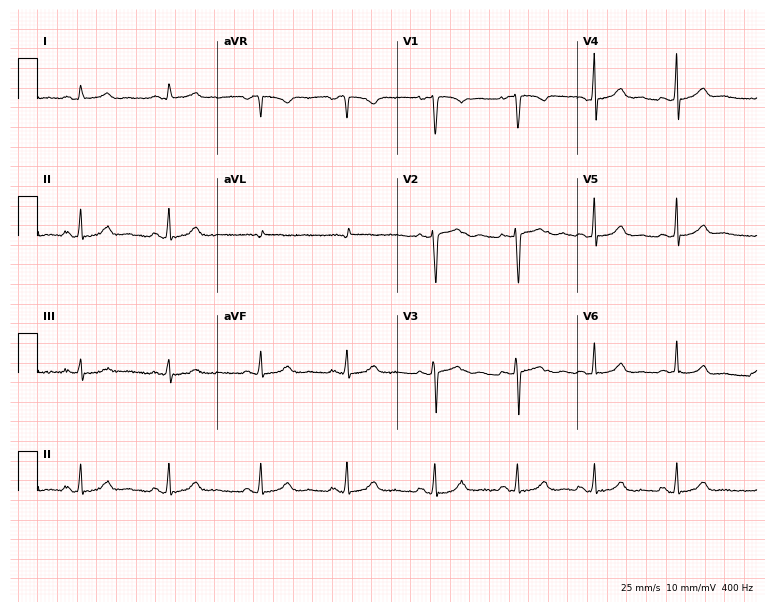
Standard 12-lead ECG recorded from an 18-year-old female (7.3-second recording at 400 Hz). Read as a normal ECG.